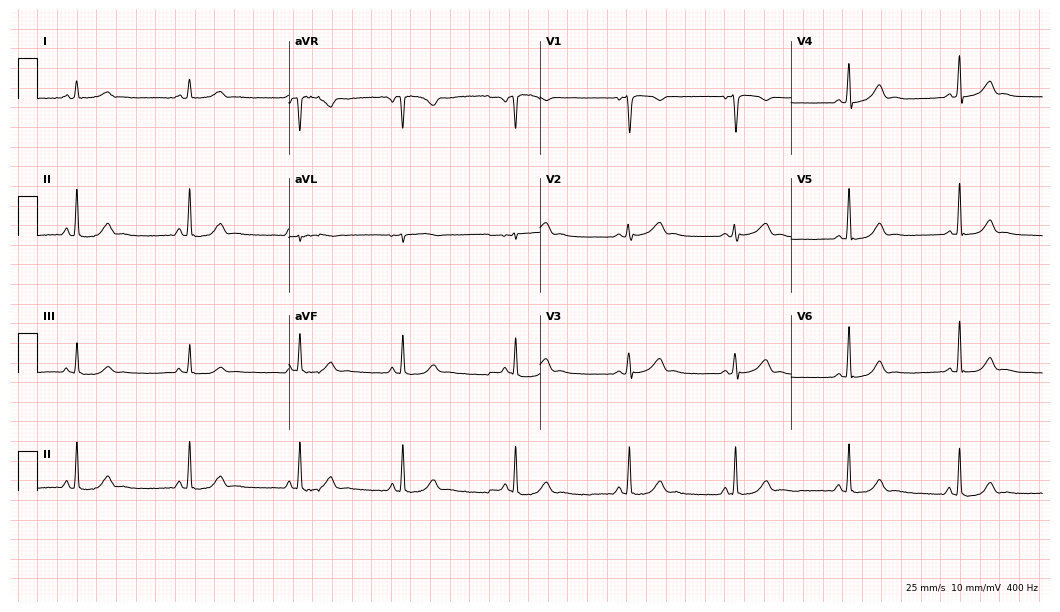
ECG (10.2-second recording at 400 Hz) — a female patient, 32 years old. Screened for six findings — first-degree AV block, right bundle branch block (RBBB), left bundle branch block (LBBB), sinus bradycardia, atrial fibrillation (AF), sinus tachycardia — none is recorded.